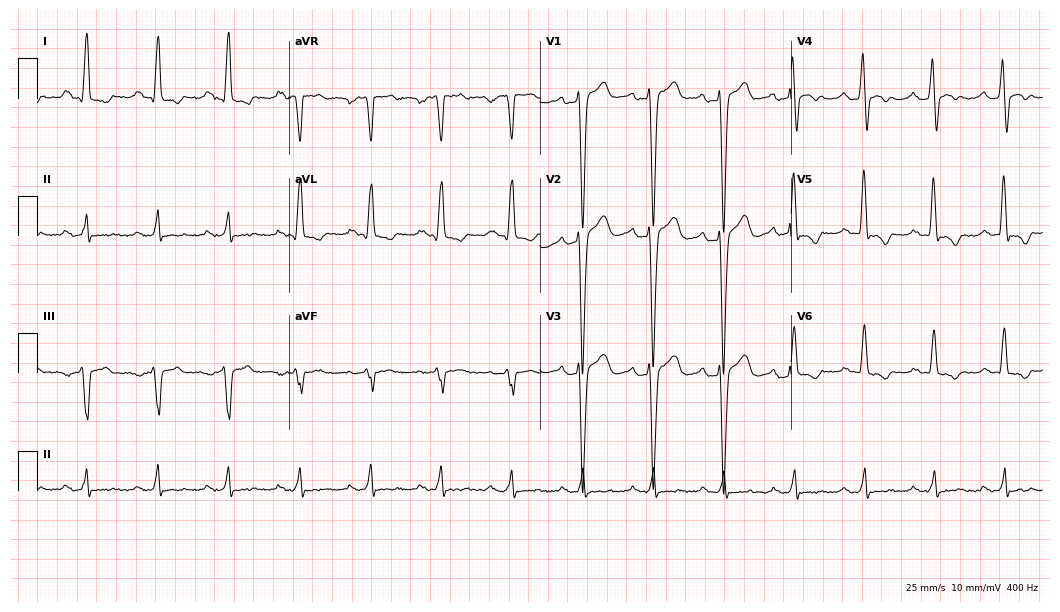
12-lead ECG from a 41-year-old male patient (10.2-second recording at 400 Hz). Shows first-degree AV block, left bundle branch block (LBBB).